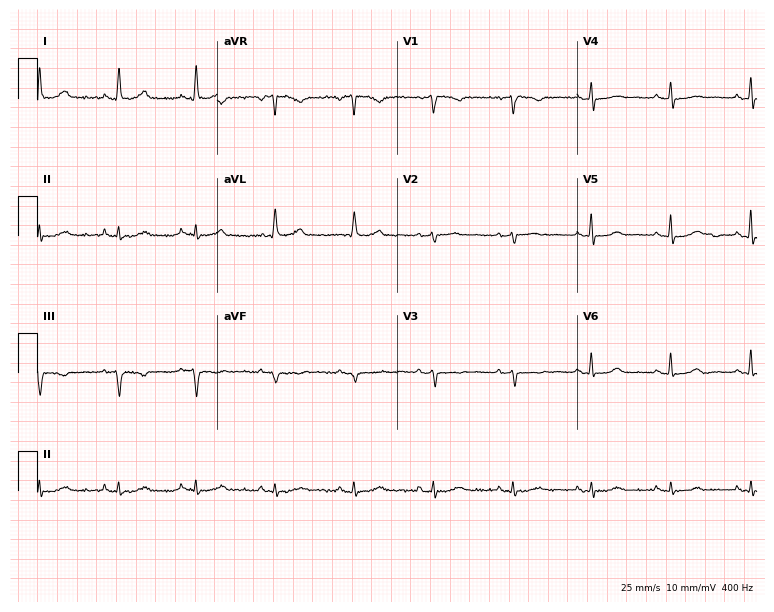
12-lead ECG from a 72-year-old woman. No first-degree AV block, right bundle branch block (RBBB), left bundle branch block (LBBB), sinus bradycardia, atrial fibrillation (AF) or sinus tachycardia recorded for this tracing.